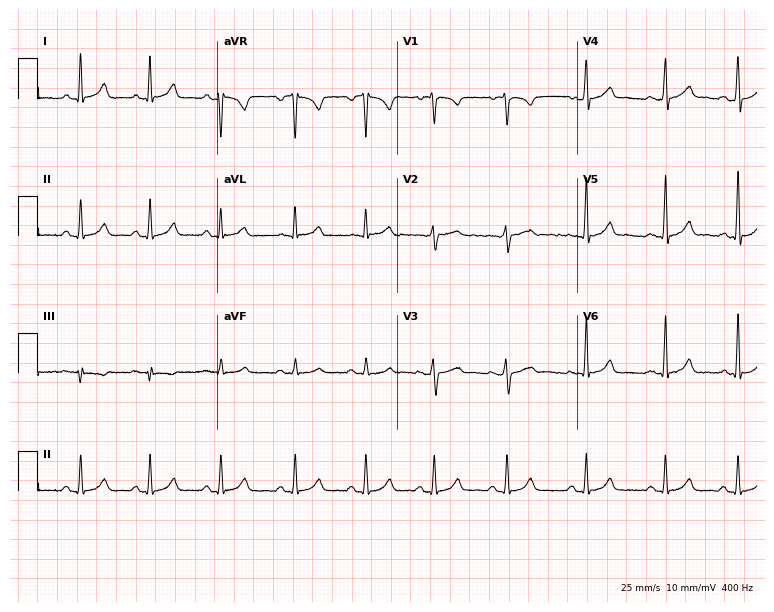
12-lead ECG from a female, 40 years old. Labelled as a normal ECG.